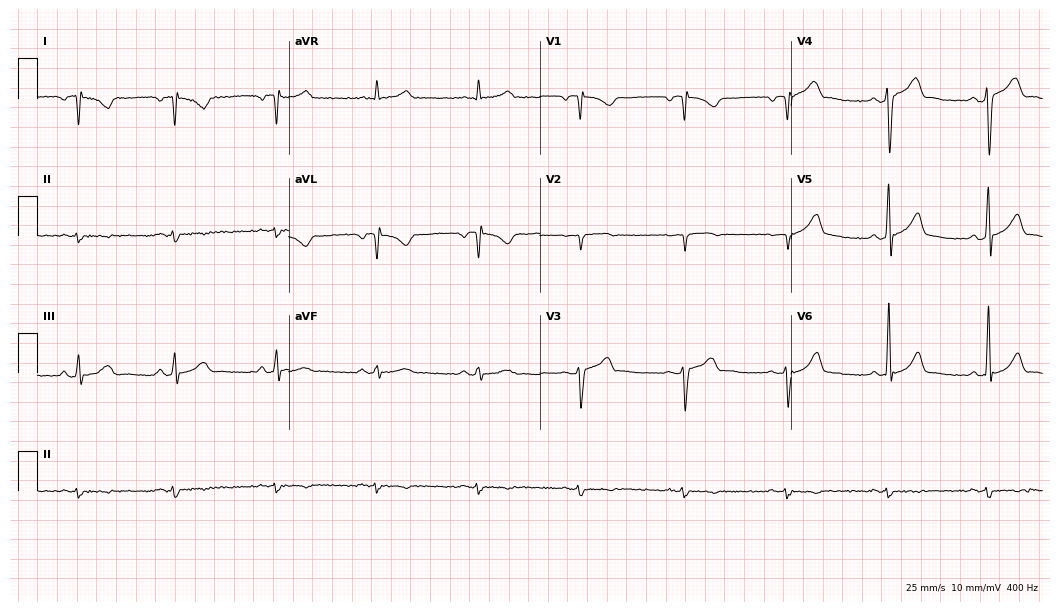
12-lead ECG from a male patient, 26 years old. Screened for six findings — first-degree AV block, right bundle branch block, left bundle branch block, sinus bradycardia, atrial fibrillation, sinus tachycardia — none is recorded. Findings outside these six are not listed.